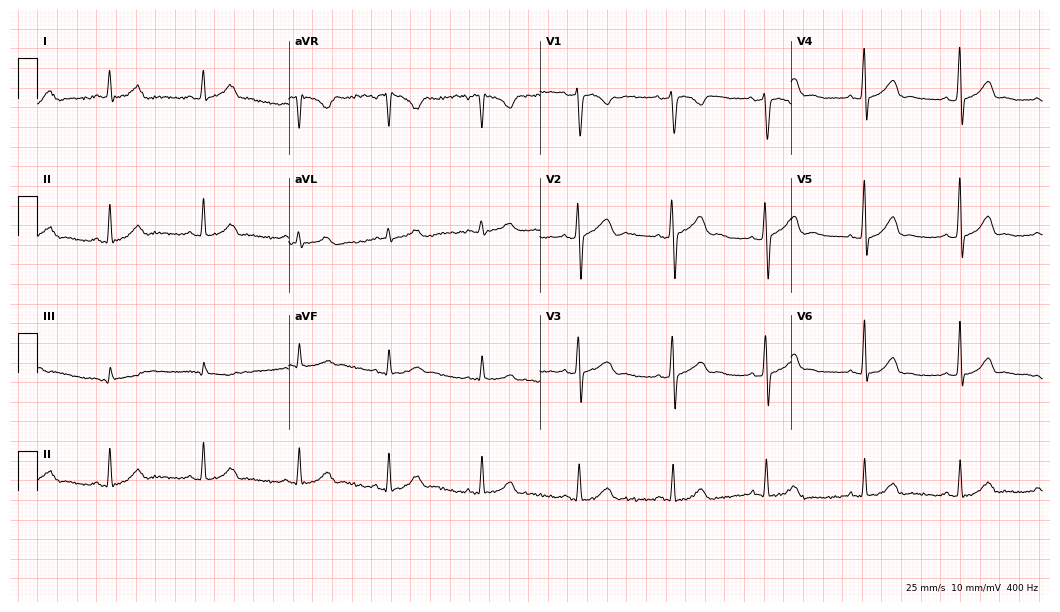
Resting 12-lead electrocardiogram. Patient: a 30-year-old female. Read as a normal ECG.